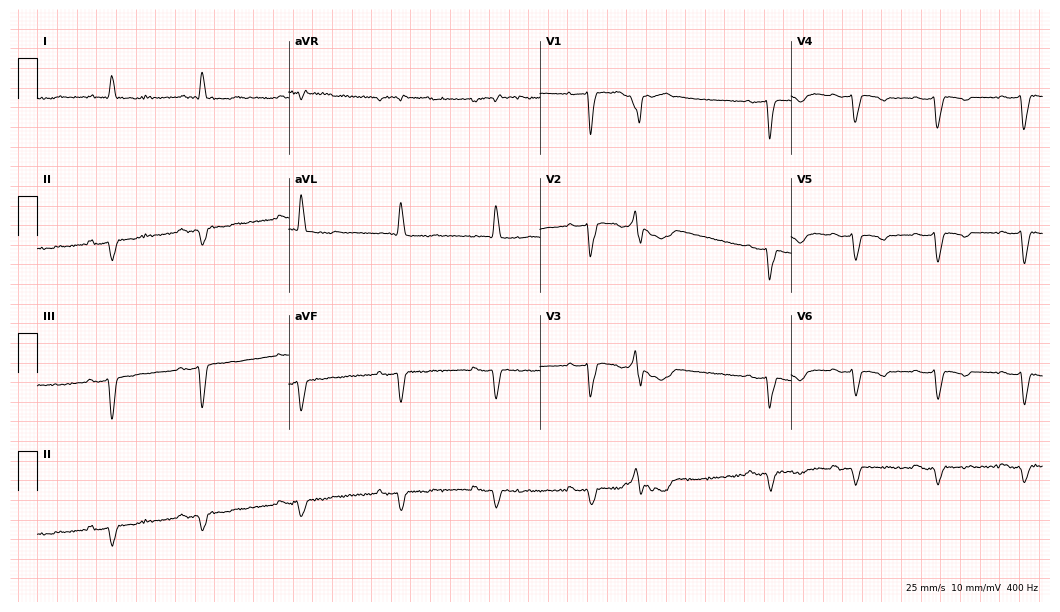
Electrocardiogram (10.2-second recording at 400 Hz), a 62-year-old male patient. Of the six screened findings (first-degree AV block, right bundle branch block (RBBB), left bundle branch block (LBBB), sinus bradycardia, atrial fibrillation (AF), sinus tachycardia), none is recorded.